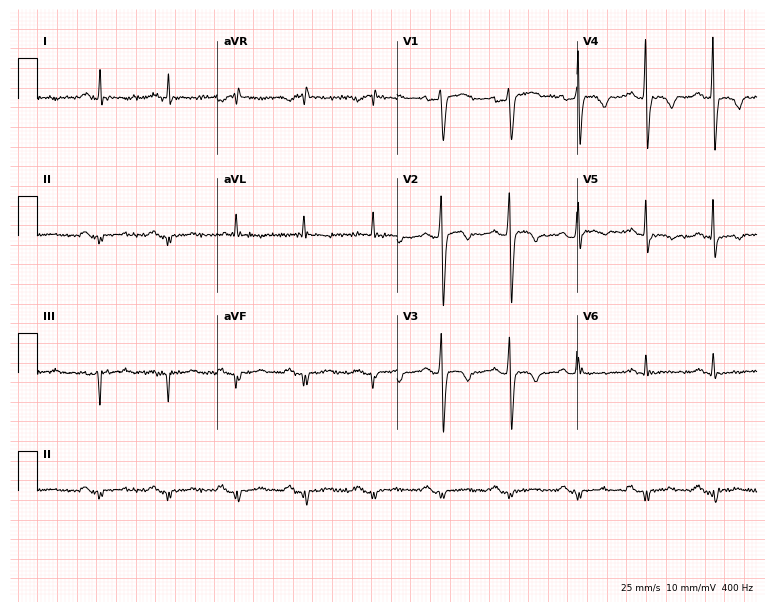
12-lead ECG from a male patient, 66 years old. No first-degree AV block, right bundle branch block (RBBB), left bundle branch block (LBBB), sinus bradycardia, atrial fibrillation (AF) or sinus tachycardia recorded for this tracing. Findings outside these six are not listed.